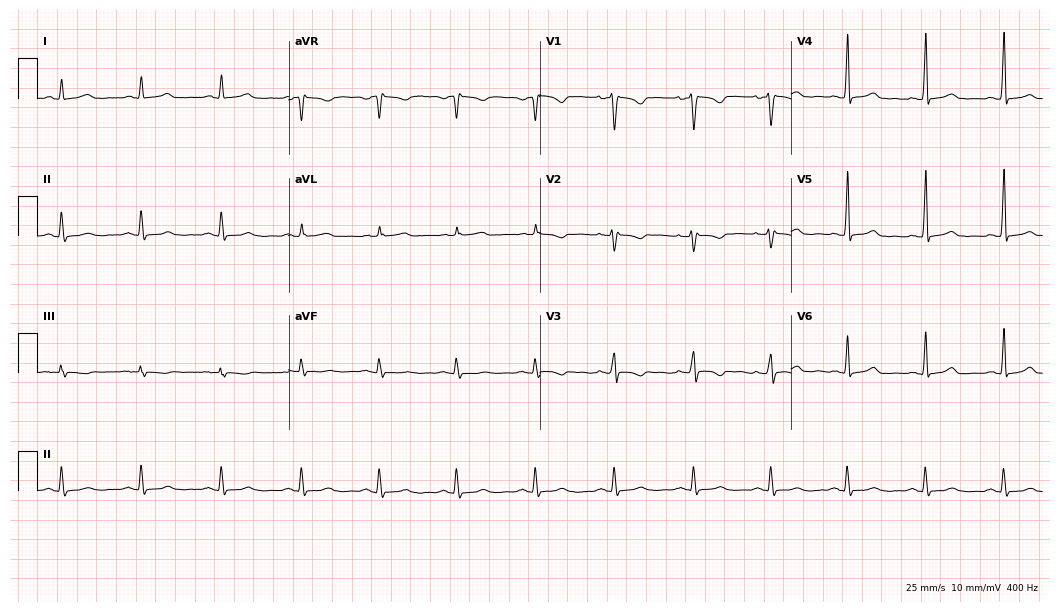
Standard 12-lead ECG recorded from a 34-year-old woman. Read as a normal ECG.